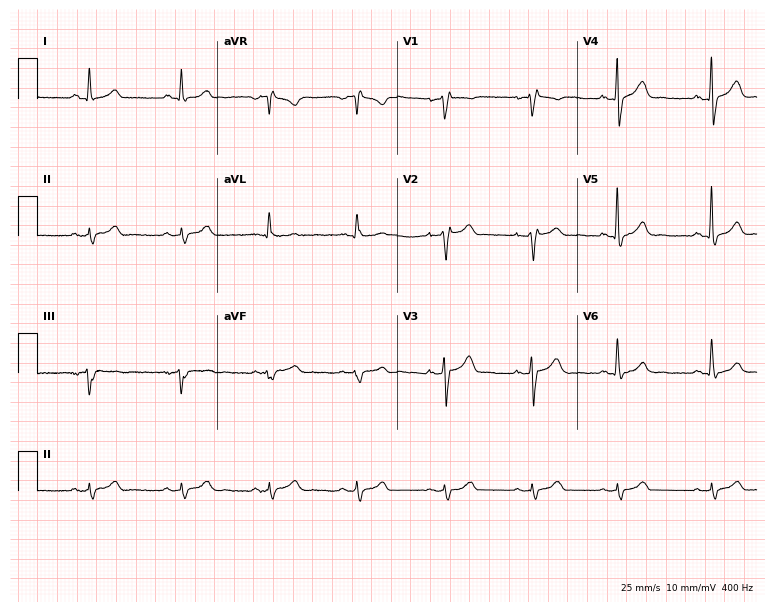
Standard 12-lead ECG recorded from a male, 29 years old (7.3-second recording at 400 Hz). None of these six findings is recorded: first-degree AV block, right bundle branch block, left bundle branch block, sinus bradycardia, atrial fibrillation, sinus tachycardia. Only these six findings were labelled.